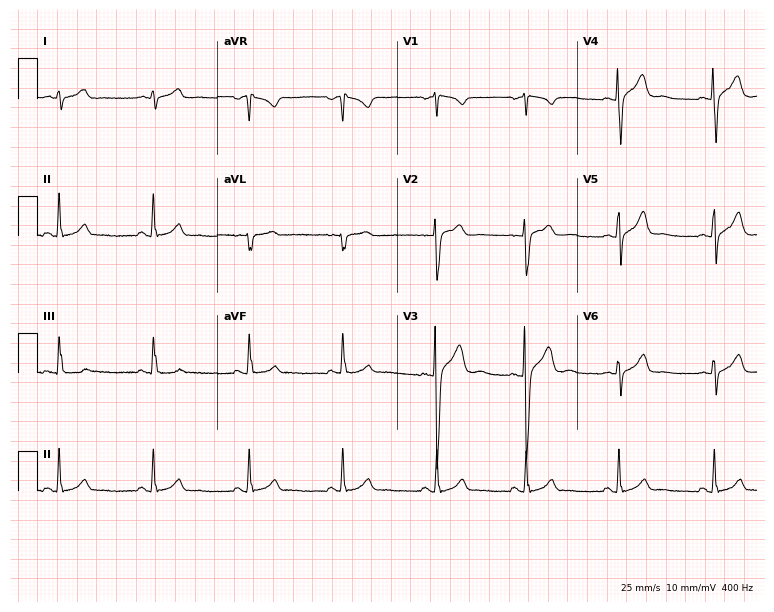
Standard 12-lead ECG recorded from a female, 22 years old. None of these six findings is recorded: first-degree AV block, right bundle branch block (RBBB), left bundle branch block (LBBB), sinus bradycardia, atrial fibrillation (AF), sinus tachycardia.